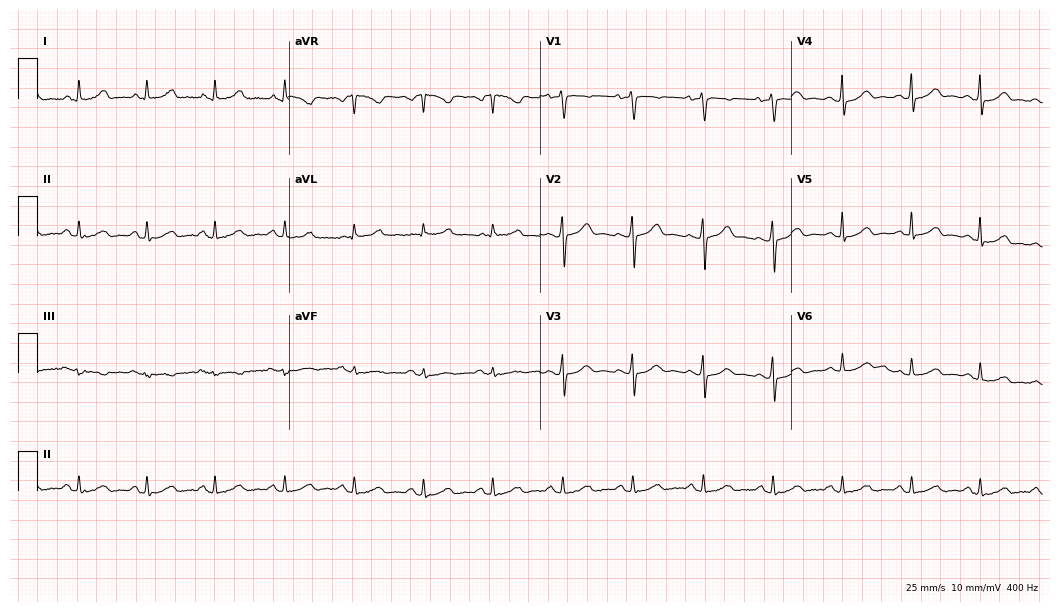
Standard 12-lead ECG recorded from a female, 63 years old. Read as a normal ECG.